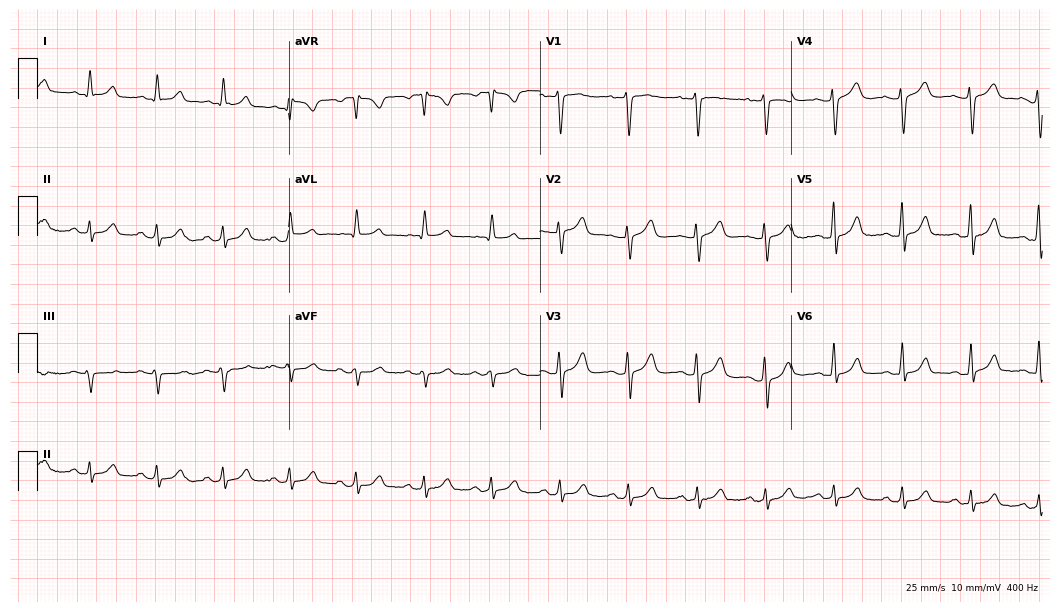
12-lead ECG from a 45-year-old woman. Labelled as a normal ECG.